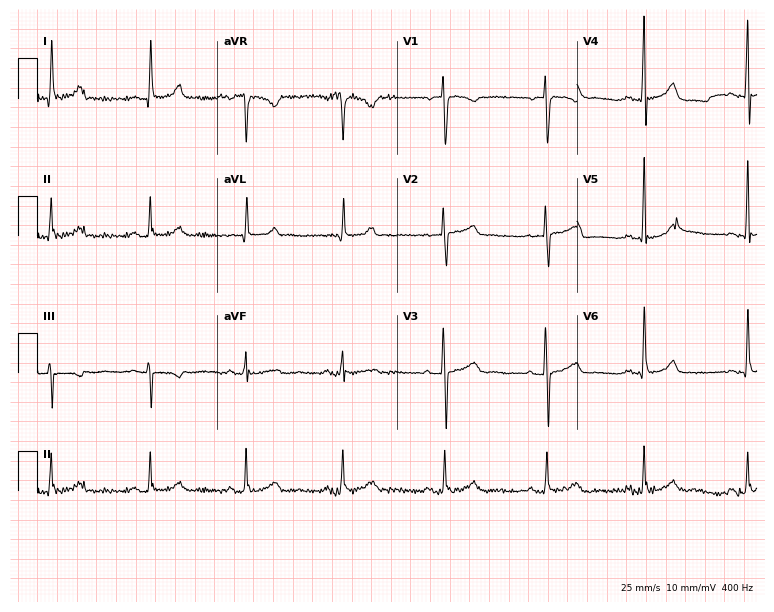
Standard 12-lead ECG recorded from a female patient, 54 years old. Read as a normal ECG.